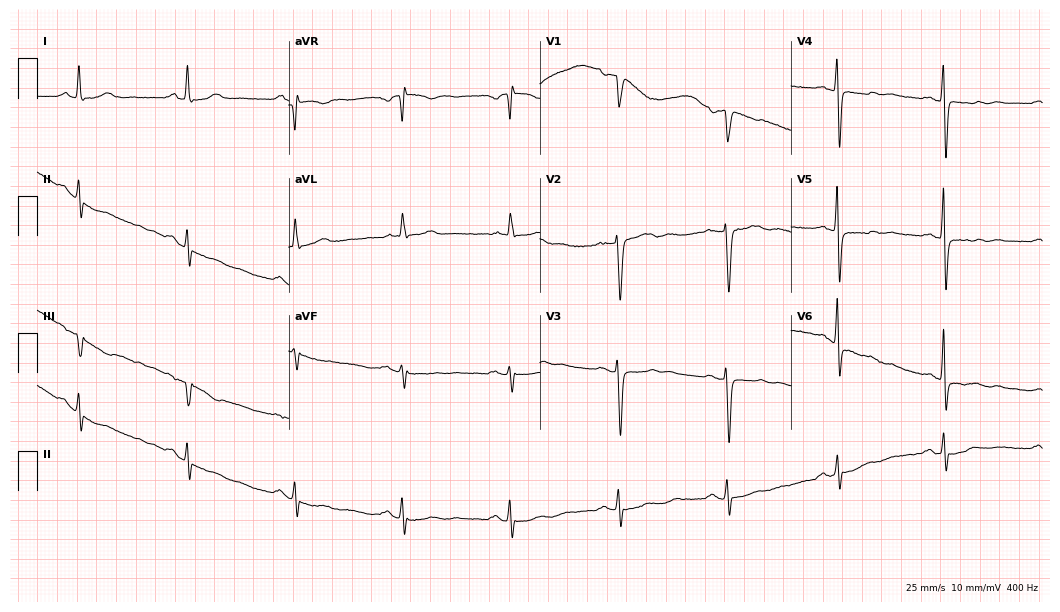
12-lead ECG (10.2-second recording at 400 Hz) from a 39-year-old female patient. Screened for six findings — first-degree AV block, right bundle branch block, left bundle branch block, sinus bradycardia, atrial fibrillation, sinus tachycardia — none is recorded. Findings outside these six are not listed.